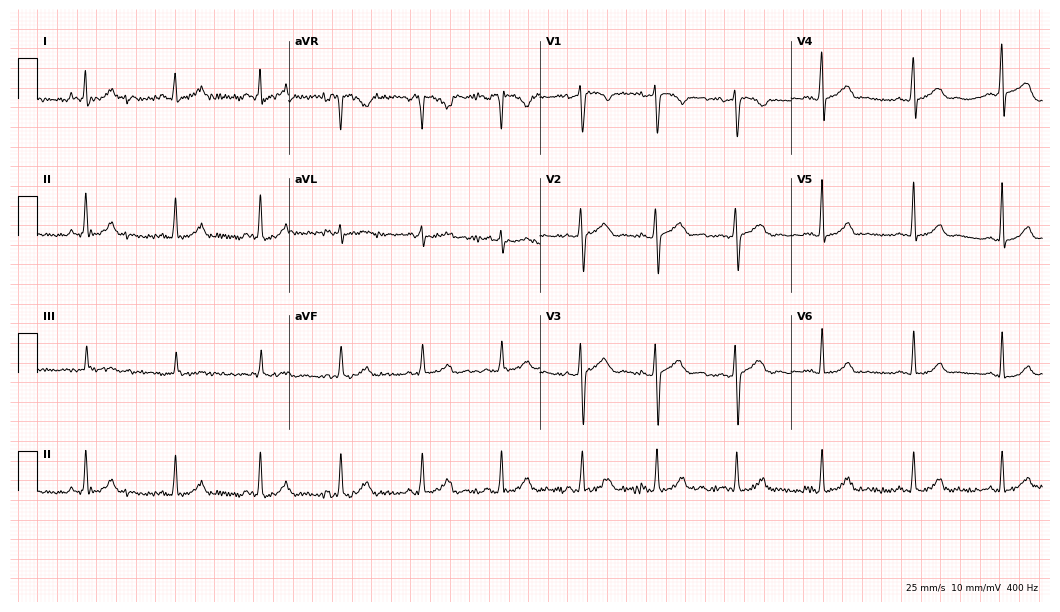
Standard 12-lead ECG recorded from a 23-year-old female patient. Read as a normal ECG.